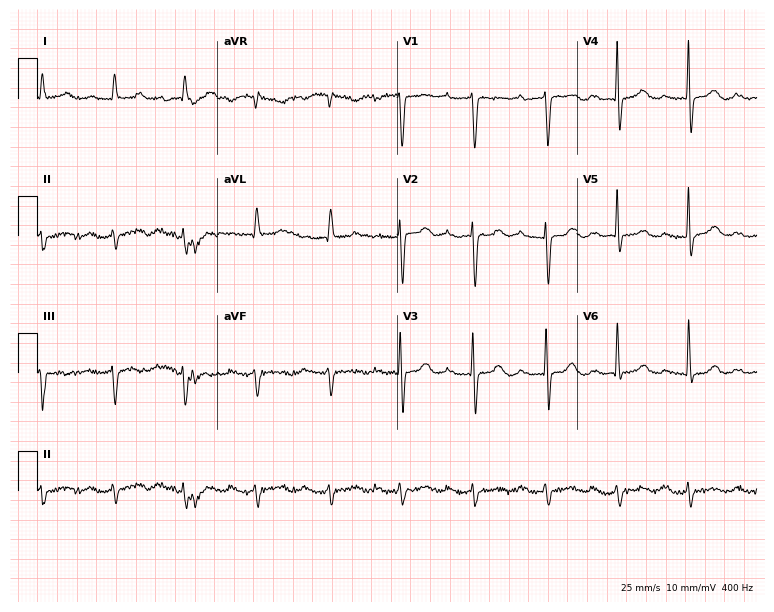
Resting 12-lead electrocardiogram. Patient: an 81-year-old female. The tracing shows first-degree AV block.